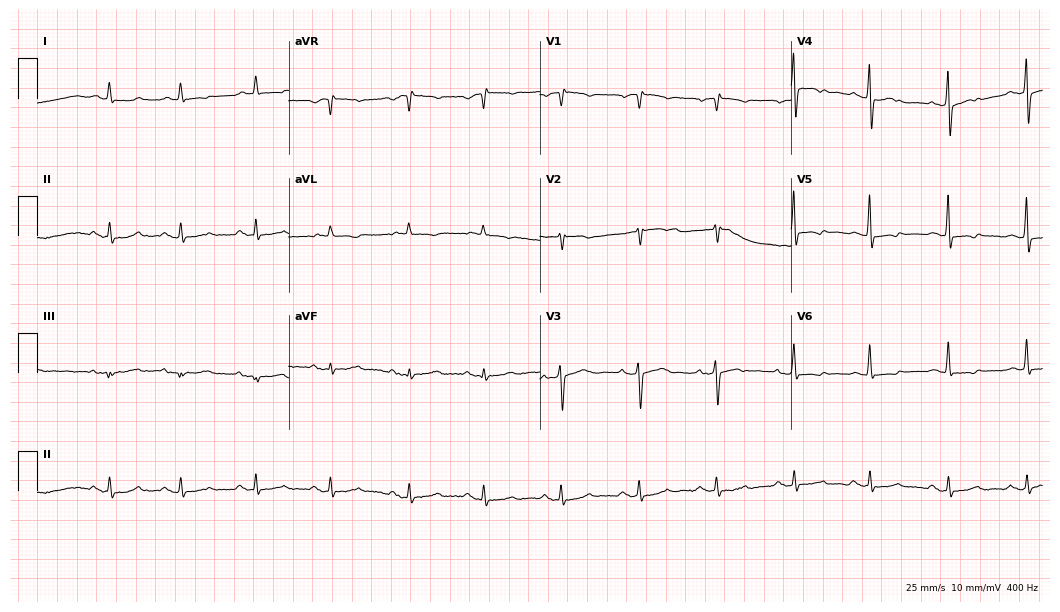
12-lead ECG from a male patient, 73 years old (10.2-second recording at 400 Hz). No first-degree AV block, right bundle branch block, left bundle branch block, sinus bradycardia, atrial fibrillation or sinus tachycardia recorded for this tracing. Other findings, if any, are not listed.